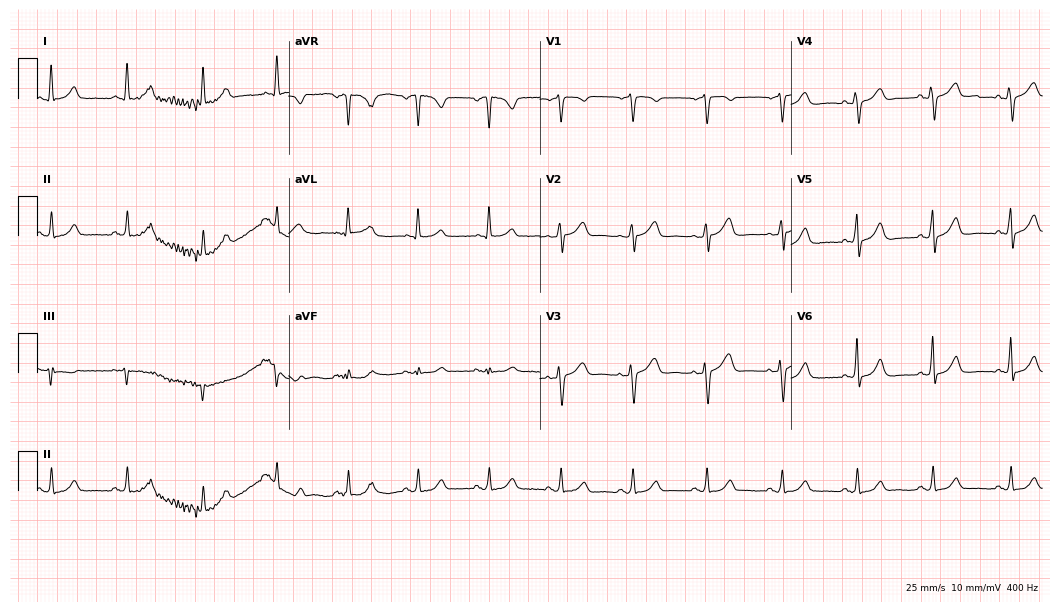
12-lead ECG from a 67-year-old woman. Labelled as a normal ECG.